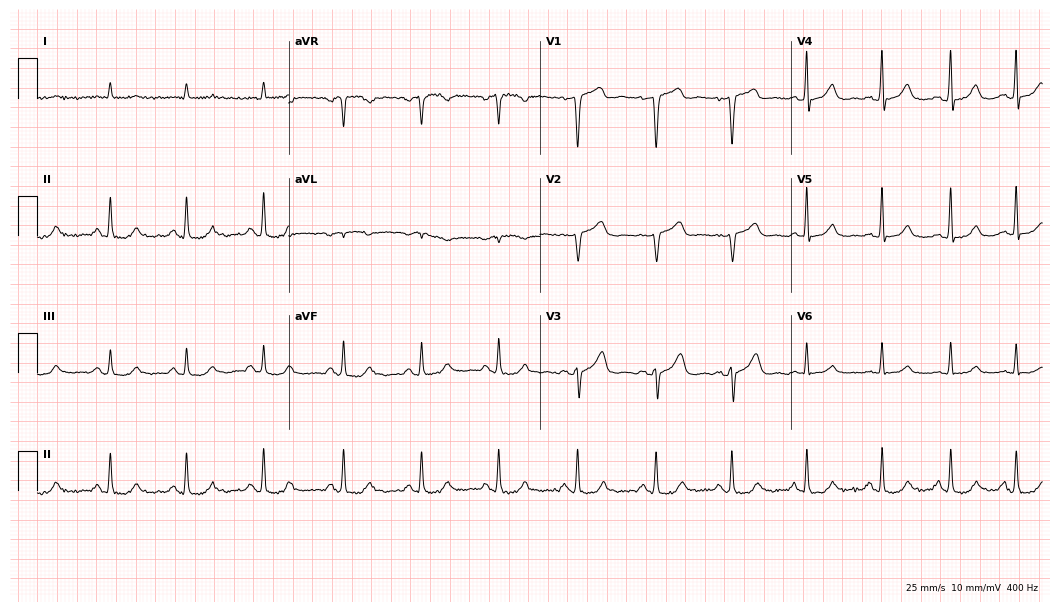
12-lead ECG (10.2-second recording at 400 Hz) from a female, 57 years old. Screened for six findings — first-degree AV block, right bundle branch block, left bundle branch block, sinus bradycardia, atrial fibrillation, sinus tachycardia — none is recorded.